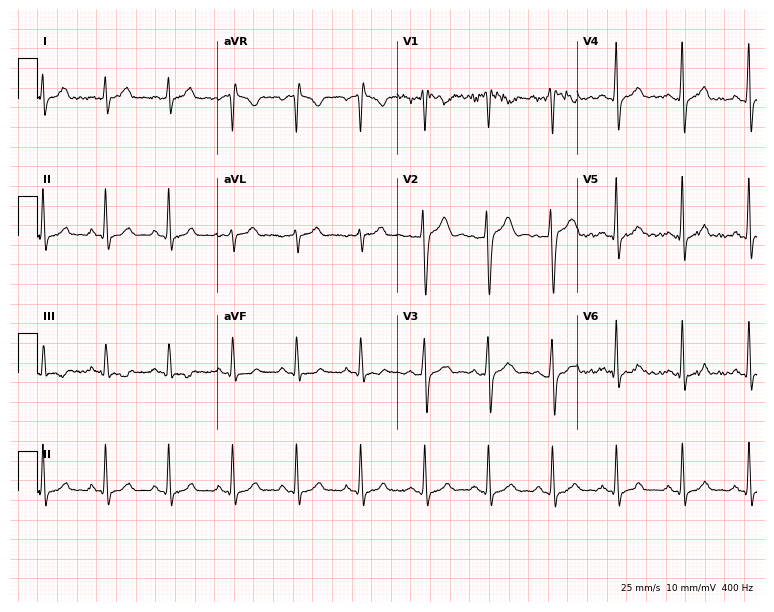
ECG (7.3-second recording at 400 Hz) — a male, 36 years old. Screened for six findings — first-degree AV block, right bundle branch block, left bundle branch block, sinus bradycardia, atrial fibrillation, sinus tachycardia — none is recorded. Other findings, if any, are not listed.